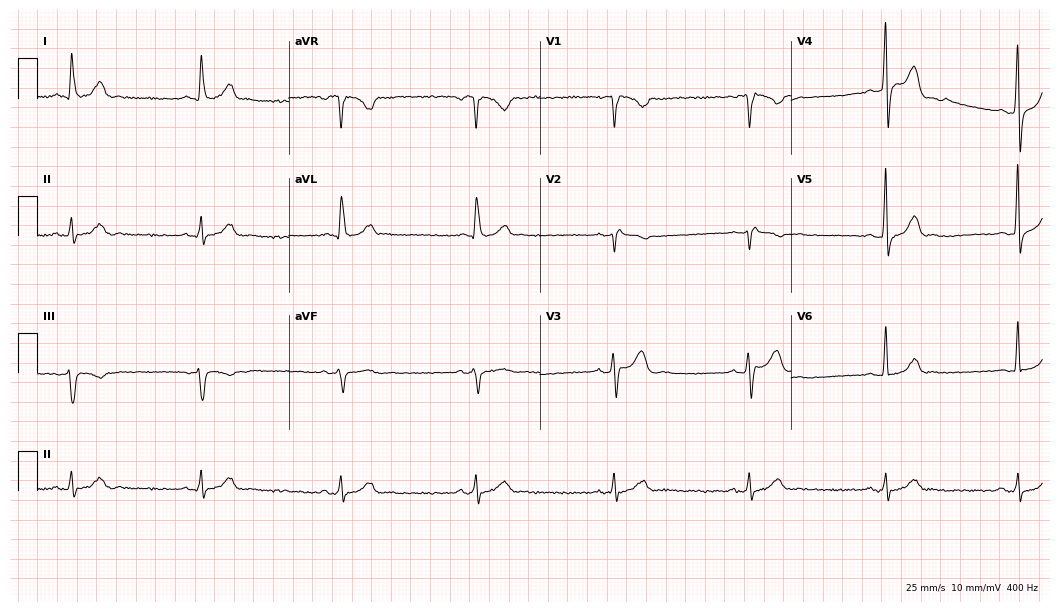
Standard 12-lead ECG recorded from a 42-year-old man (10.2-second recording at 400 Hz). None of these six findings is recorded: first-degree AV block, right bundle branch block, left bundle branch block, sinus bradycardia, atrial fibrillation, sinus tachycardia. Only these six findings were labelled.